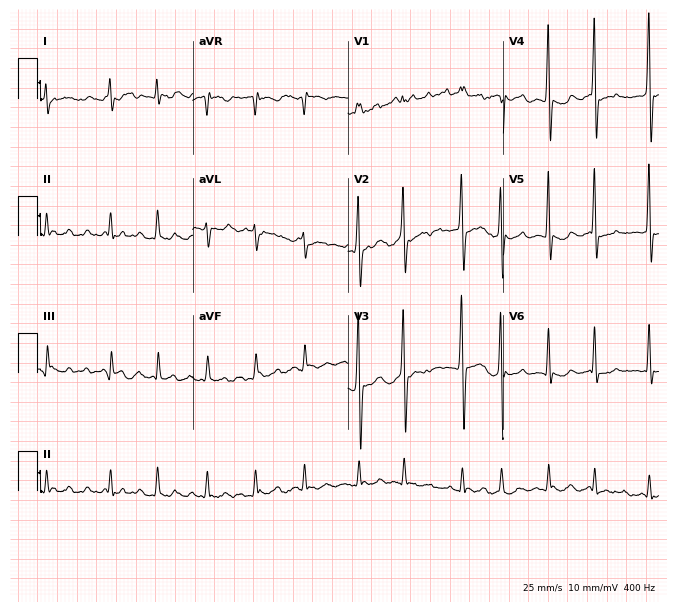
Standard 12-lead ECG recorded from a man, 70 years old. None of these six findings is recorded: first-degree AV block, right bundle branch block, left bundle branch block, sinus bradycardia, atrial fibrillation, sinus tachycardia.